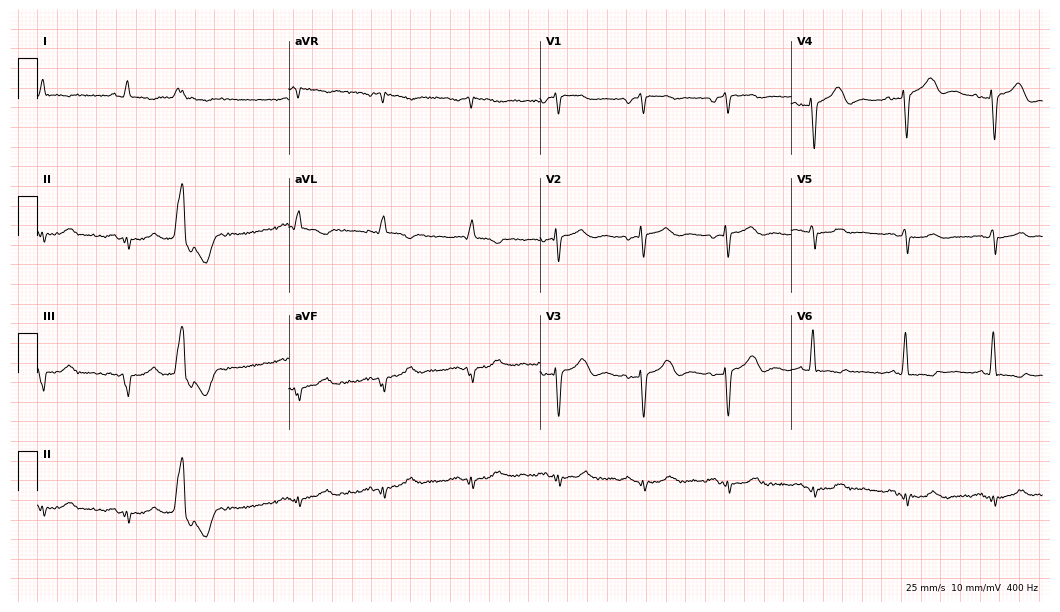
12-lead ECG from an 84-year-old male patient (10.2-second recording at 400 Hz). No first-degree AV block, right bundle branch block, left bundle branch block, sinus bradycardia, atrial fibrillation or sinus tachycardia recorded for this tracing.